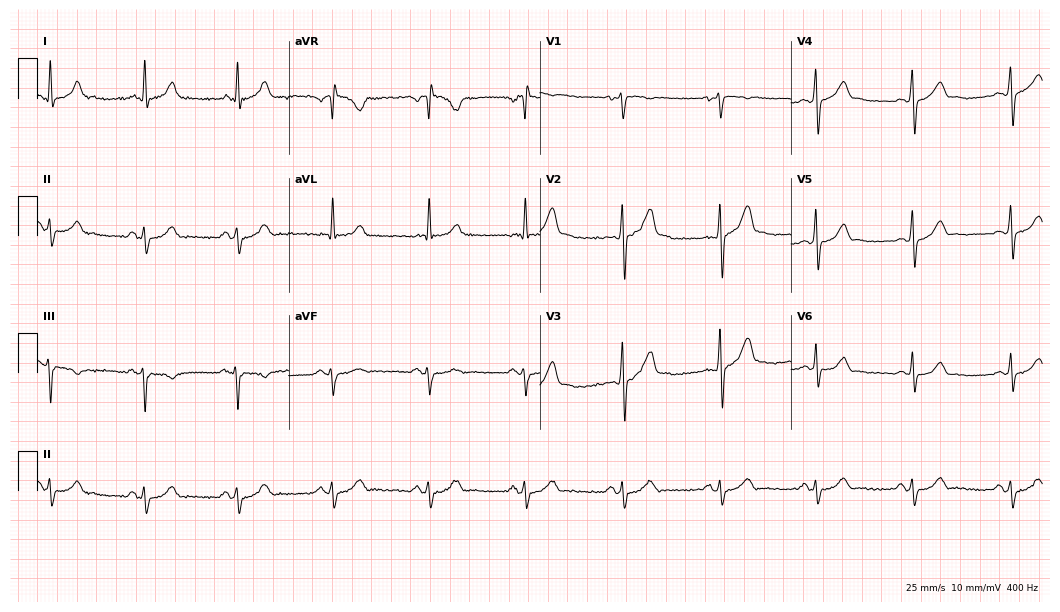
12-lead ECG from a man, 34 years old. No first-degree AV block, right bundle branch block, left bundle branch block, sinus bradycardia, atrial fibrillation or sinus tachycardia recorded for this tracing. Only these six findings were labelled.